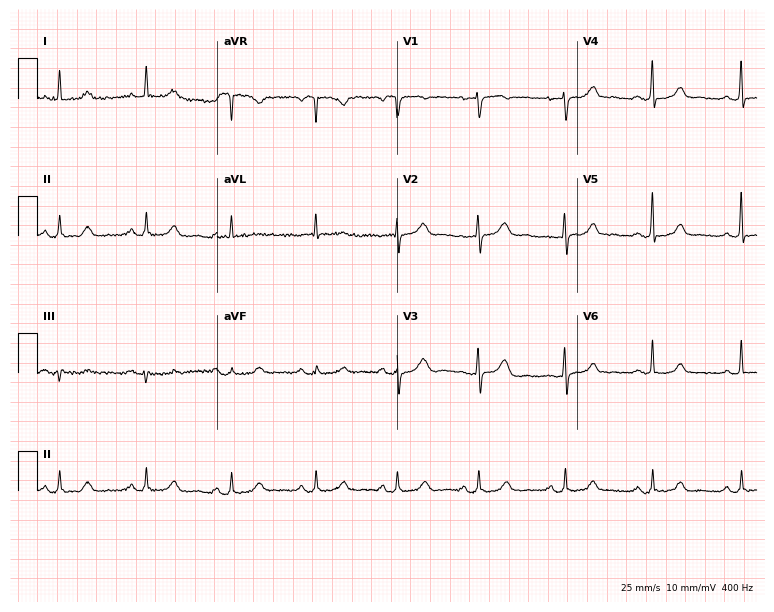
Standard 12-lead ECG recorded from a 47-year-old woman (7.3-second recording at 400 Hz). Read as a normal ECG.